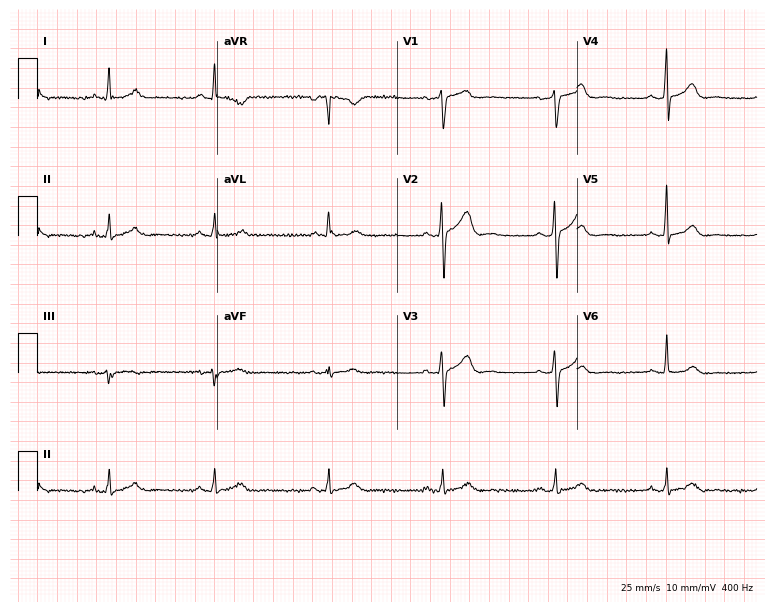
Standard 12-lead ECG recorded from a 46-year-old man. Read as a normal ECG.